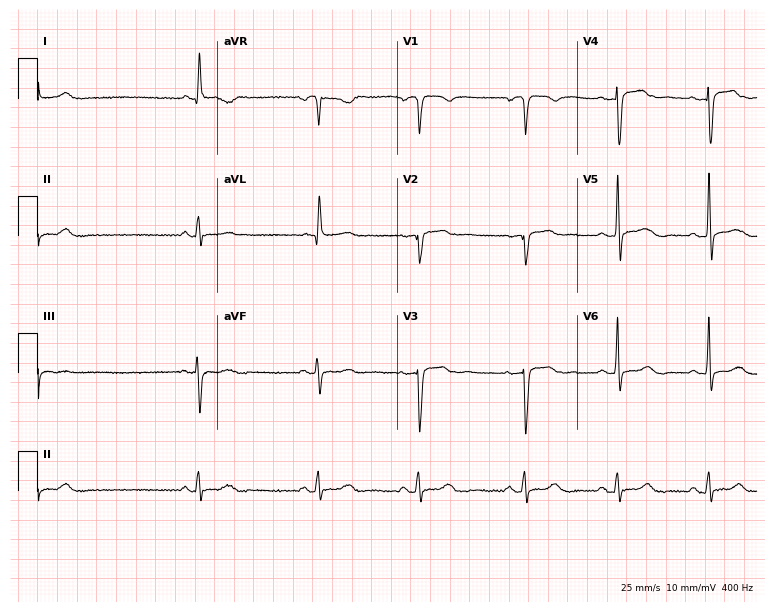
Resting 12-lead electrocardiogram. Patient: a 54-year-old female. None of these six findings is recorded: first-degree AV block, right bundle branch block (RBBB), left bundle branch block (LBBB), sinus bradycardia, atrial fibrillation (AF), sinus tachycardia.